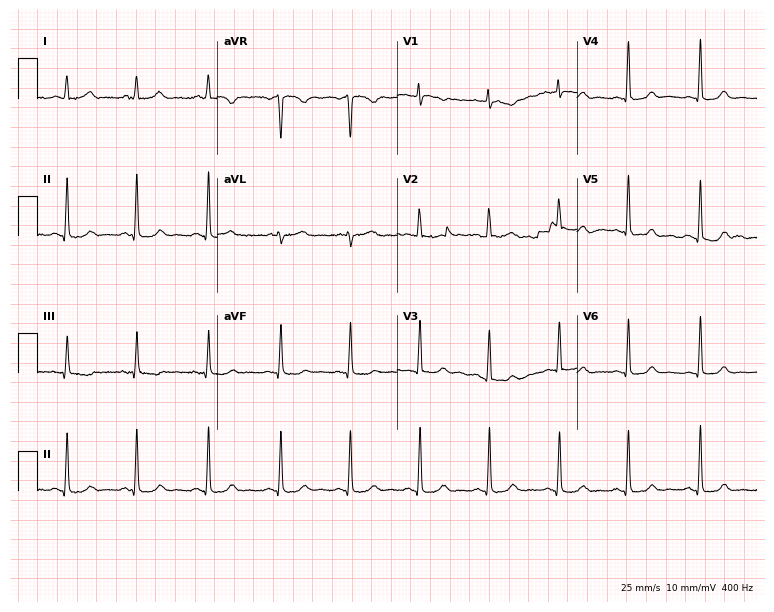
12-lead ECG from a 37-year-old woman (7.3-second recording at 400 Hz). Recorded interpretation: within normal limits.